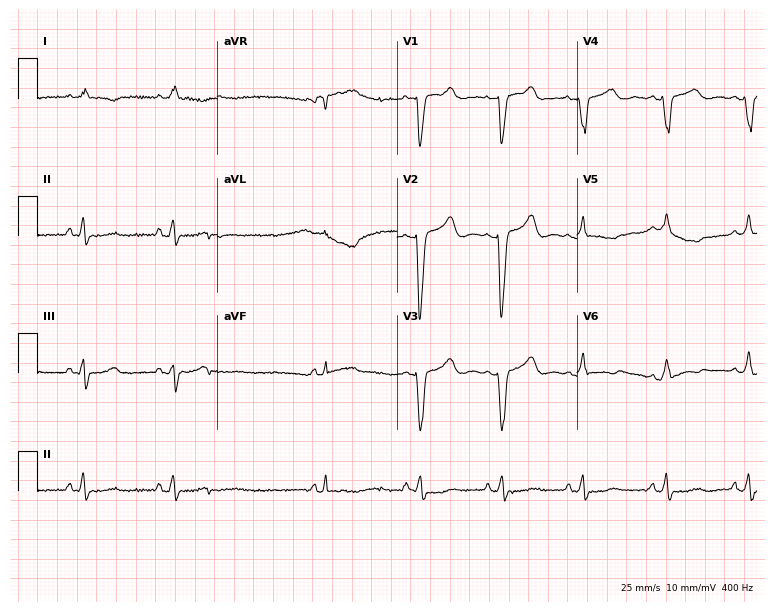
ECG (7.3-second recording at 400 Hz) — an 83-year-old female patient. Screened for six findings — first-degree AV block, right bundle branch block, left bundle branch block, sinus bradycardia, atrial fibrillation, sinus tachycardia — none is recorded.